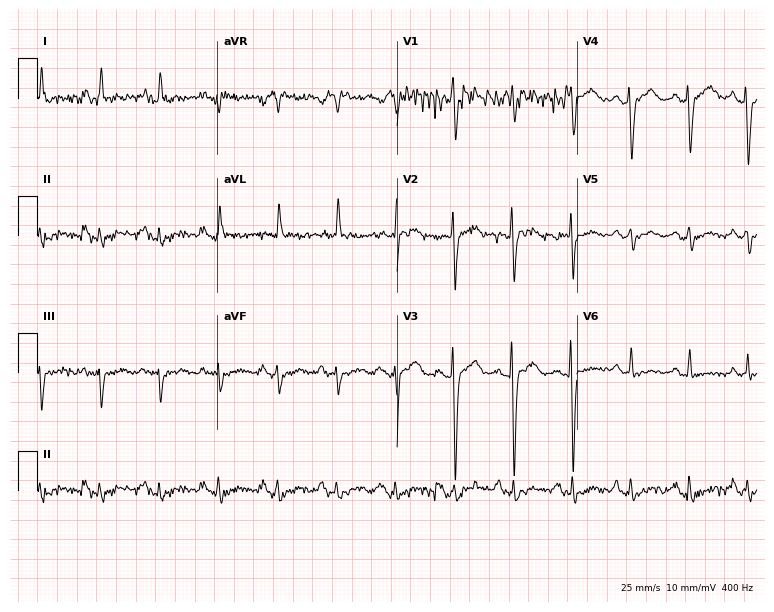
Resting 12-lead electrocardiogram. Patient: a female, 58 years old. None of these six findings is recorded: first-degree AV block, right bundle branch block, left bundle branch block, sinus bradycardia, atrial fibrillation, sinus tachycardia. Only these six findings were labelled.